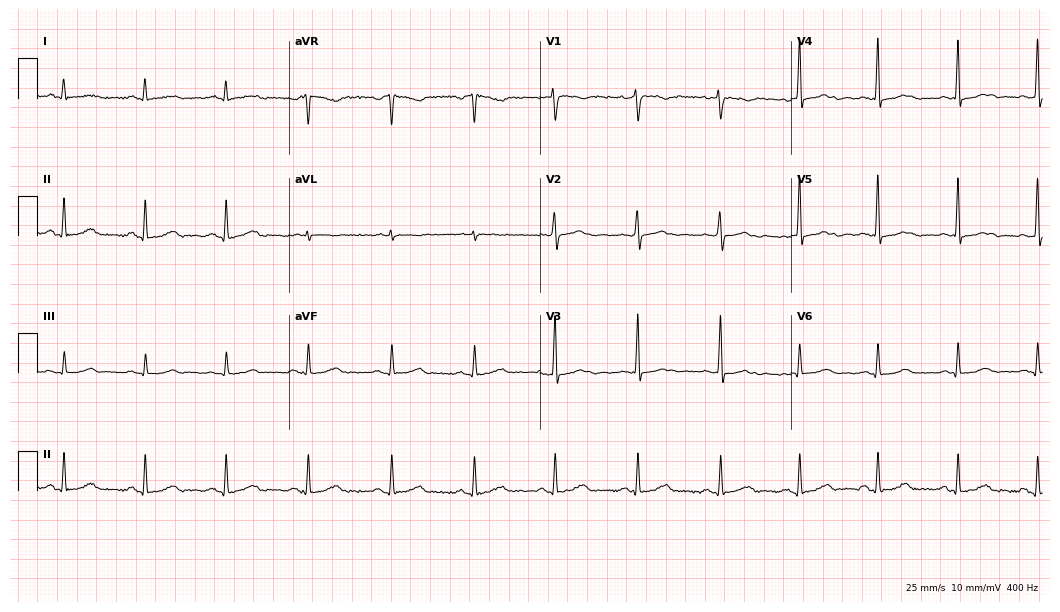
Standard 12-lead ECG recorded from a female, 37 years old. None of these six findings is recorded: first-degree AV block, right bundle branch block, left bundle branch block, sinus bradycardia, atrial fibrillation, sinus tachycardia. Findings outside these six are not listed.